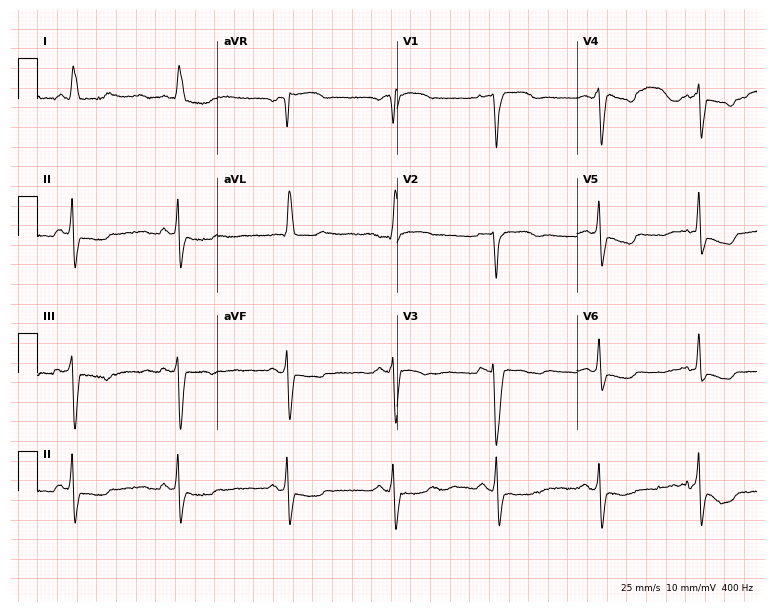
12-lead ECG from a female patient, 73 years old (7.3-second recording at 400 Hz). No first-degree AV block, right bundle branch block (RBBB), left bundle branch block (LBBB), sinus bradycardia, atrial fibrillation (AF) or sinus tachycardia recorded for this tracing.